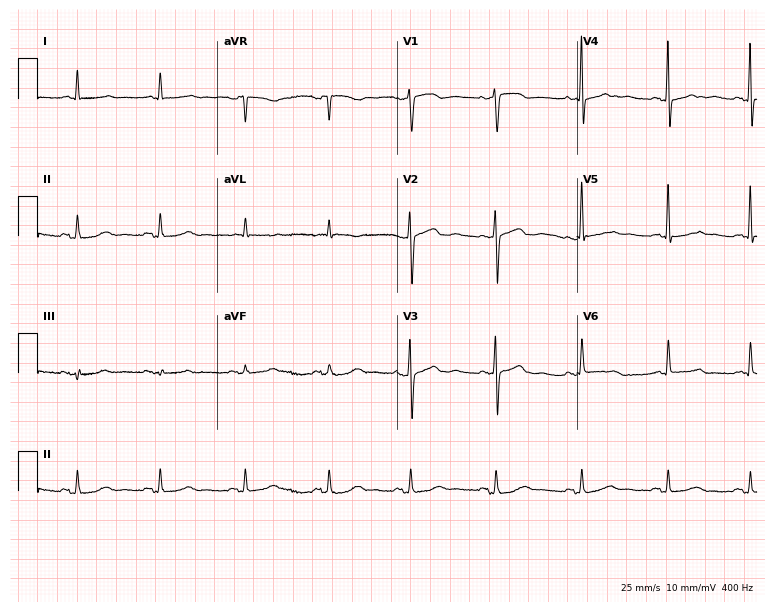
ECG — a 71-year-old woman. Screened for six findings — first-degree AV block, right bundle branch block, left bundle branch block, sinus bradycardia, atrial fibrillation, sinus tachycardia — none is recorded. Findings outside these six are not listed.